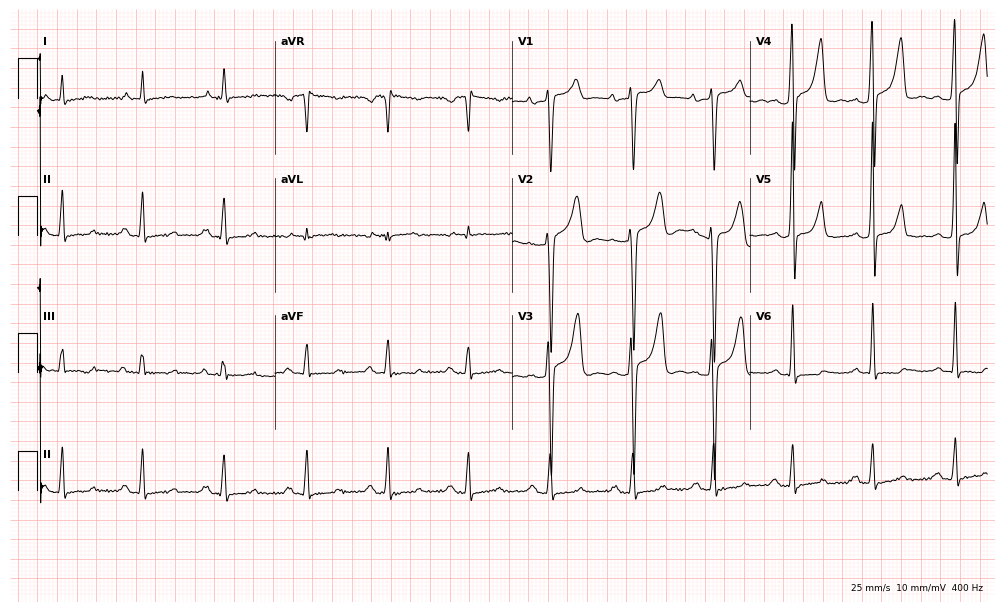
Electrocardiogram, a male patient, 30 years old. Of the six screened findings (first-degree AV block, right bundle branch block (RBBB), left bundle branch block (LBBB), sinus bradycardia, atrial fibrillation (AF), sinus tachycardia), none is recorded.